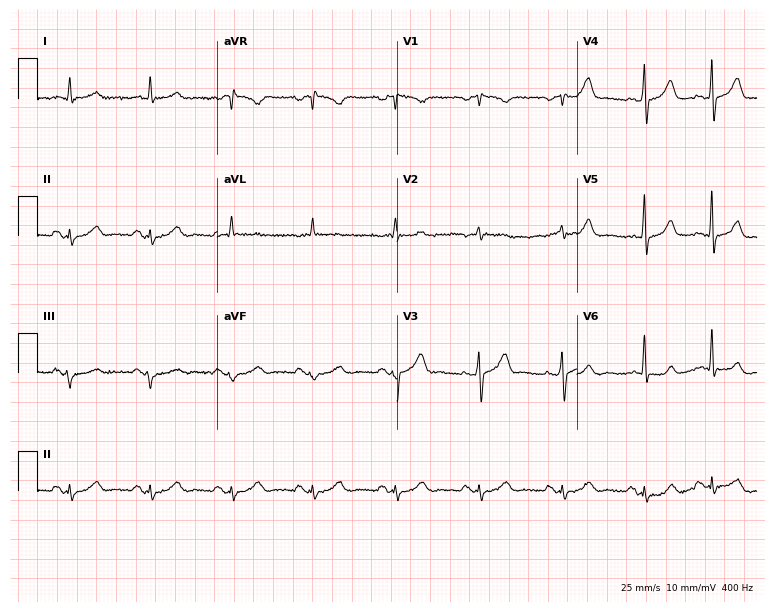
12-lead ECG from a 79-year-old male patient. Screened for six findings — first-degree AV block, right bundle branch block (RBBB), left bundle branch block (LBBB), sinus bradycardia, atrial fibrillation (AF), sinus tachycardia — none is recorded. Findings outside these six are not listed.